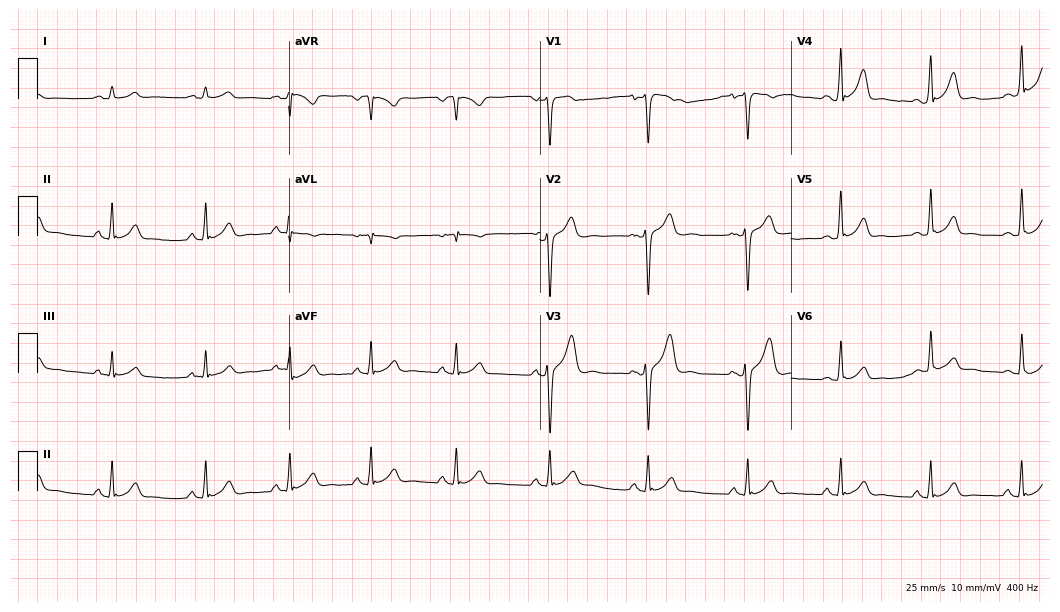
Resting 12-lead electrocardiogram (10.2-second recording at 400 Hz). Patient: a male, 26 years old. Read as a normal ECG.